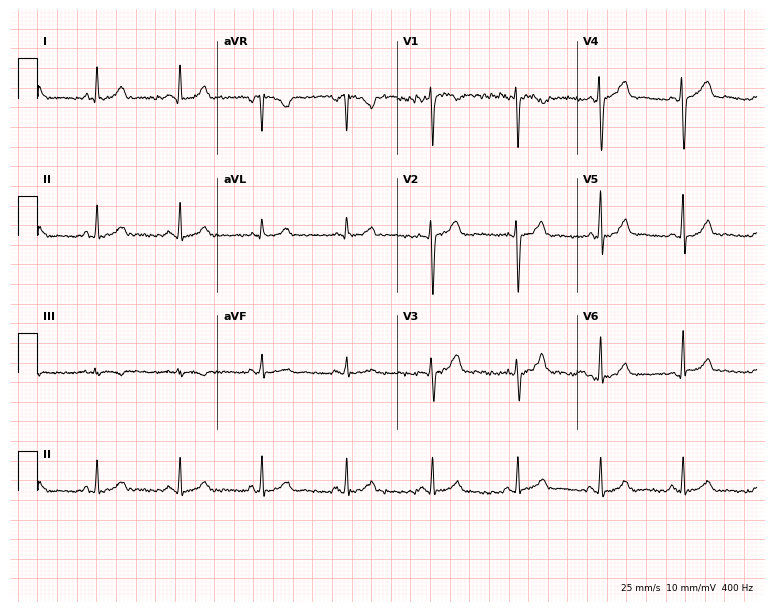
Electrocardiogram (7.3-second recording at 400 Hz), a female patient, 25 years old. Overall reading on record: normal ECG.